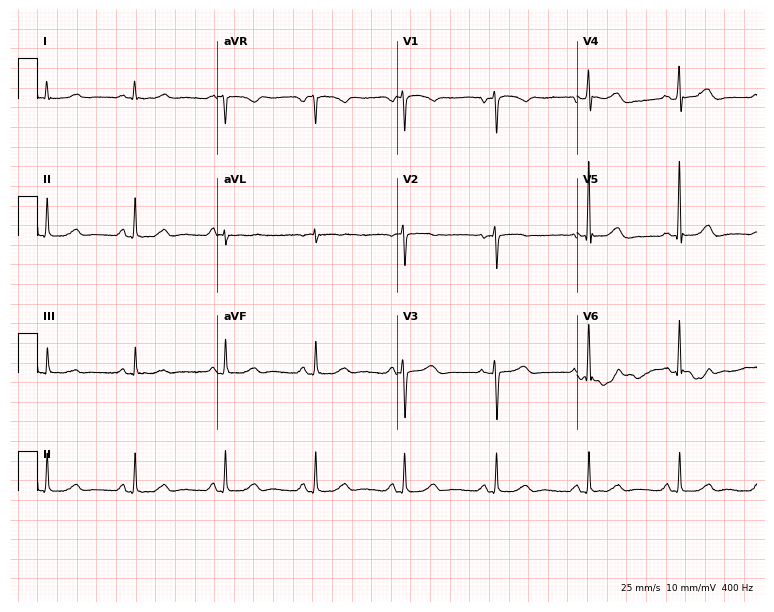
ECG — a 33-year-old woman. Screened for six findings — first-degree AV block, right bundle branch block, left bundle branch block, sinus bradycardia, atrial fibrillation, sinus tachycardia — none is recorded. Only these six findings were labelled.